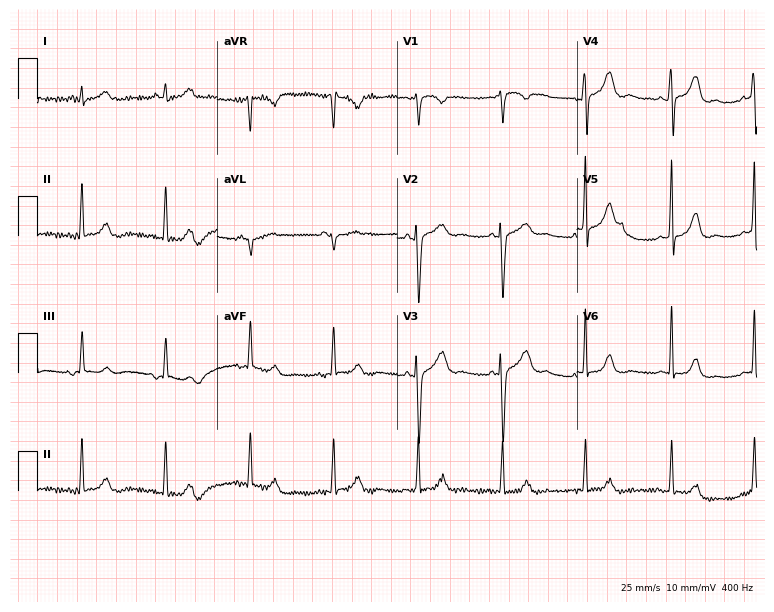
Resting 12-lead electrocardiogram (7.3-second recording at 400 Hz). Patient: a female, 36 years old. Read as a normal ECG.